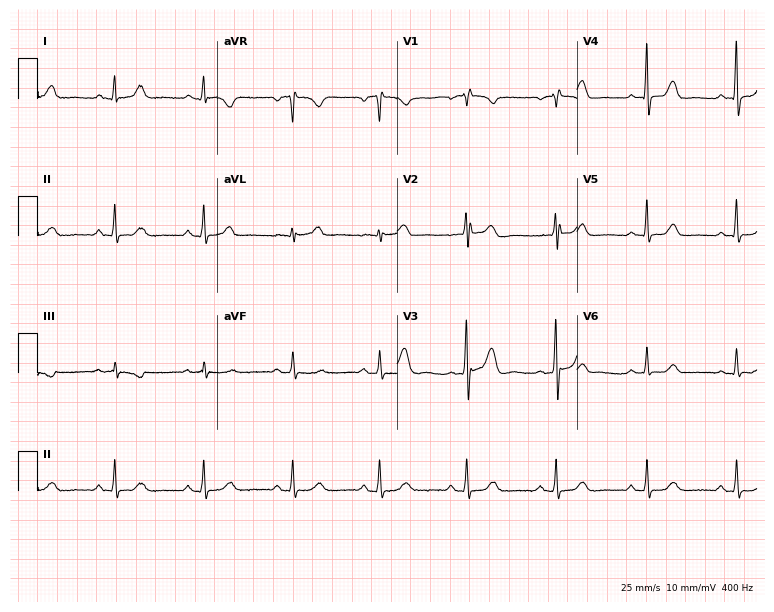
Standard 12-lead ECG recorded from a 66-year-old female. None of these six findings is recorded: first-degree AV block, right bundle branch block (RBBB), left bundle branch block (LBBB), sinus bradycardia, atrial fibrillation (AF), sinus tachycardia. Other findings, if any, are not listed.